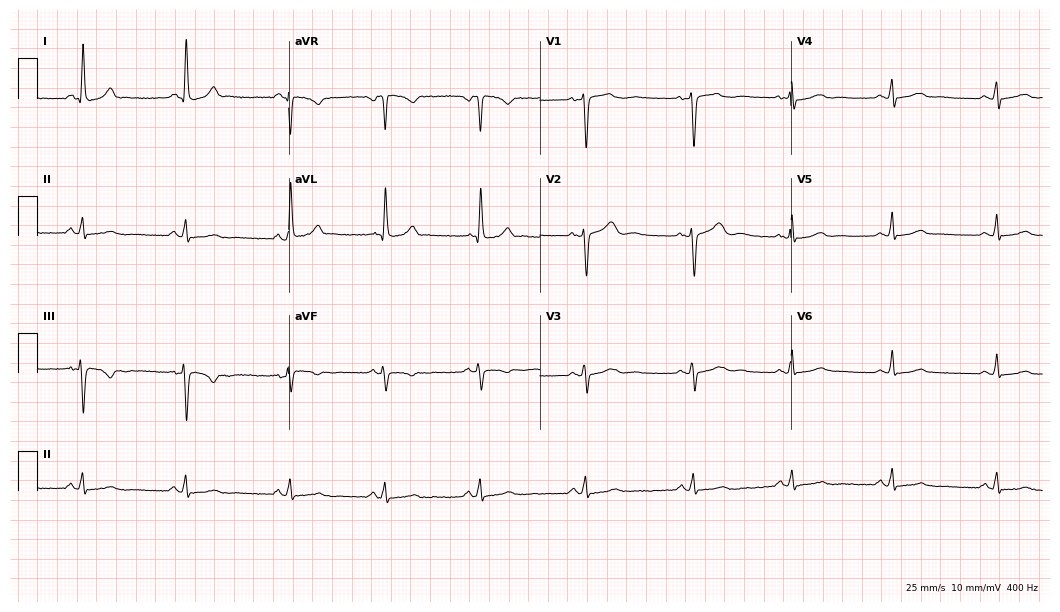
Standard 12-lead ECG recorded from a woman, 41 years old. Read as a normal ECG.